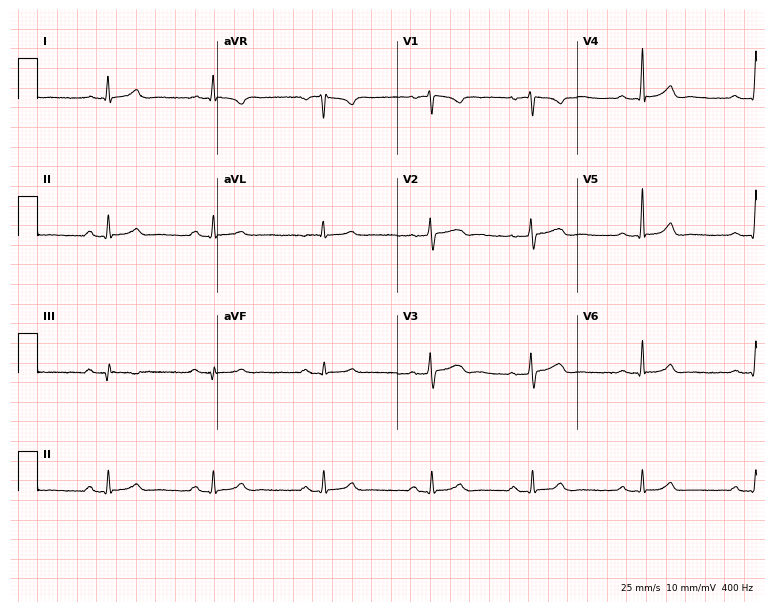
Standard 12-lead ECG recorded from a 32-year-old female patient (7.3-second recording at 400 Hz). Read as a normal ECG.